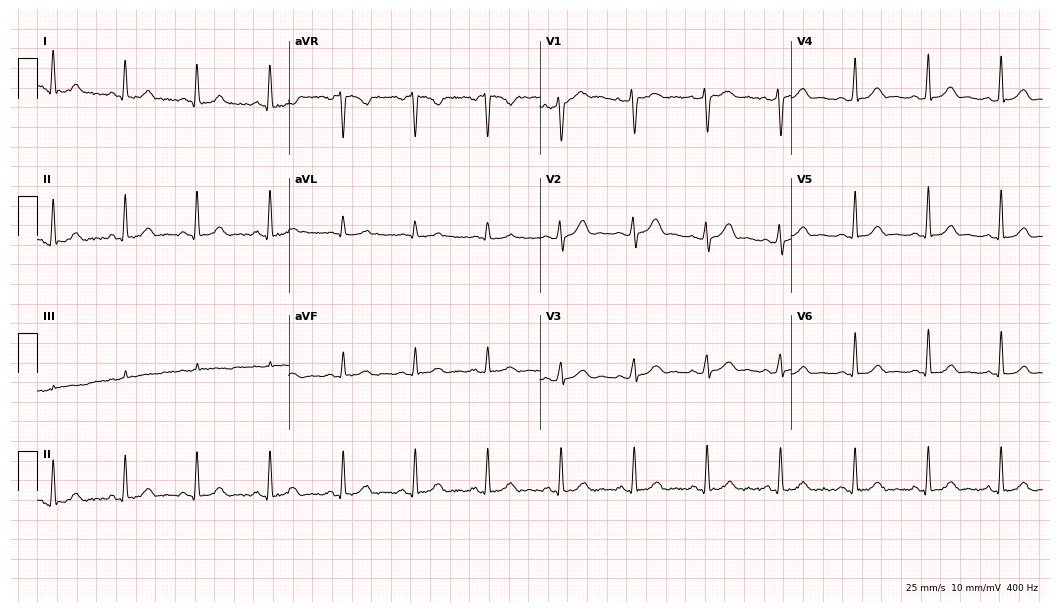
12-lead ECG from a 30-year-old woman (10.2-second recording at 400 Hz). Recorded interpretation: within normal limits.